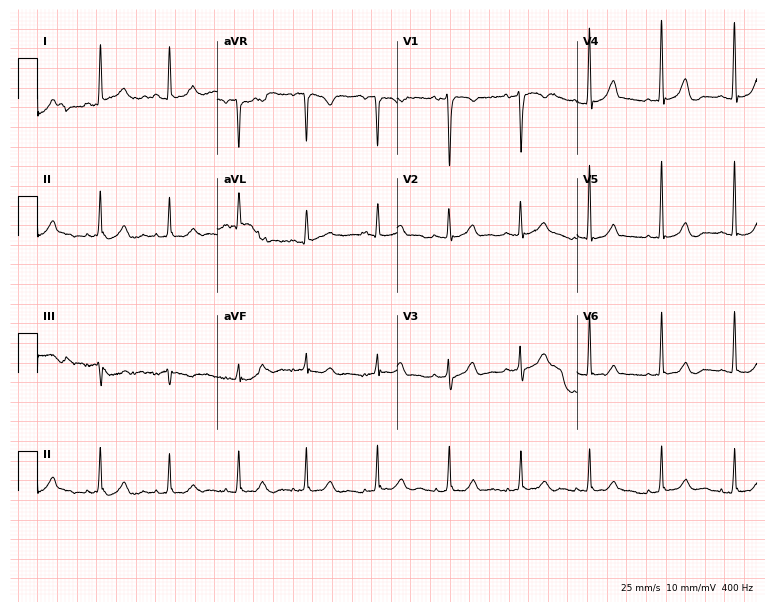
ECG — a 45-year-old female. Labelled as a normal ECG.